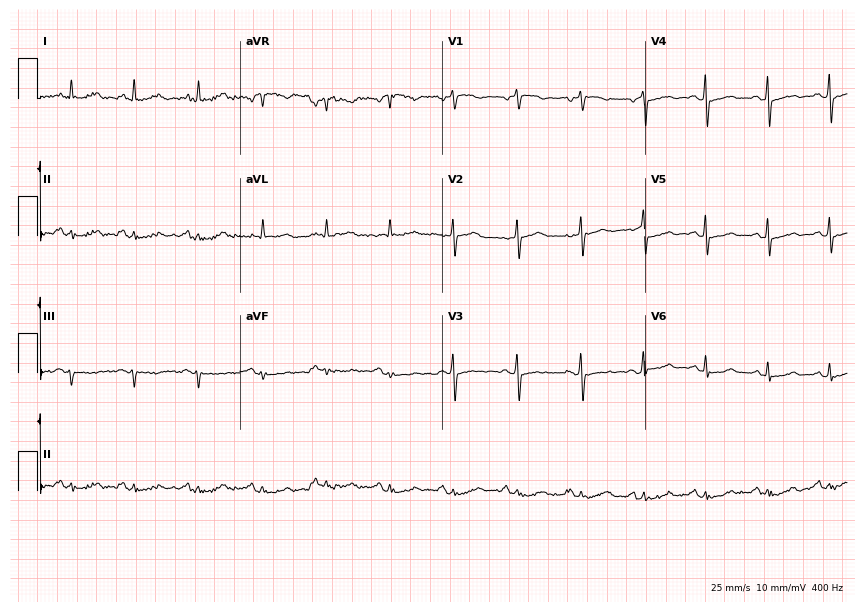
Standard 12-lead ECG recorded from a female, 65 years old. None of these six findings is recorded: first-degree AV block, right bundle branch block, left bundle branch block, sinus bradycardia, atrial fibrillation, sinus tachycardia. Findings outside these six are not listed.